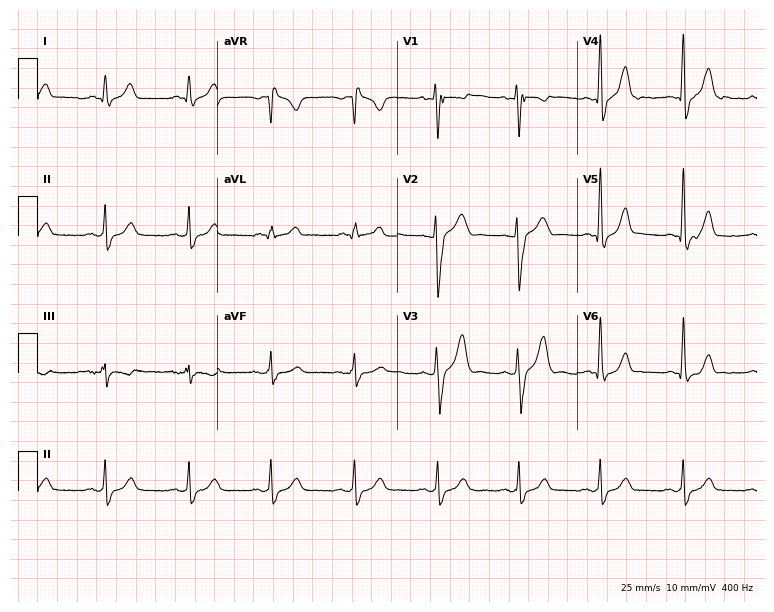
ECG — a 34-year-old man. Screened for six findings — first-degree AV block, right bundle branch block (RBBB), left bundle branch block (LBBB), sinus bradycardia, atrial fibrillation (AF), sinus tachycardia — none is recorded. Only these six findings were labelled.